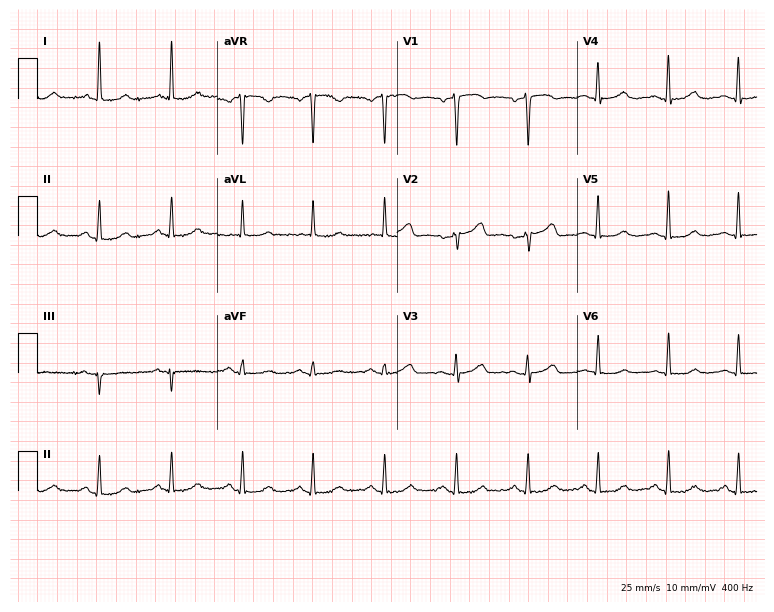
Electrocardiogram, a woman, 53 years old. Overall reading on record: normal ECG.